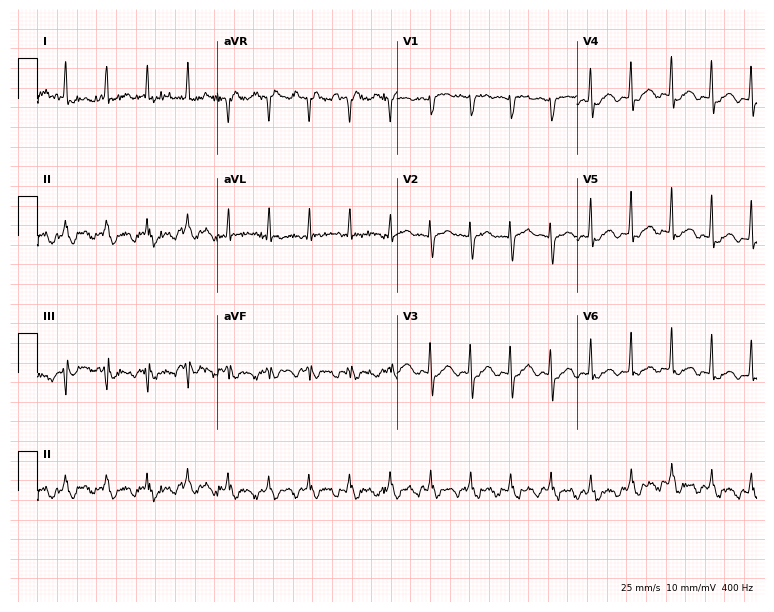
12-lead ECG from a woman, 74 years old. Screened for six findings — first-degree AV block, right bundle branch block, left bundle branch block, sinus bradycardia, atrial fibrillation, sinus tachycardia — none is recorded.